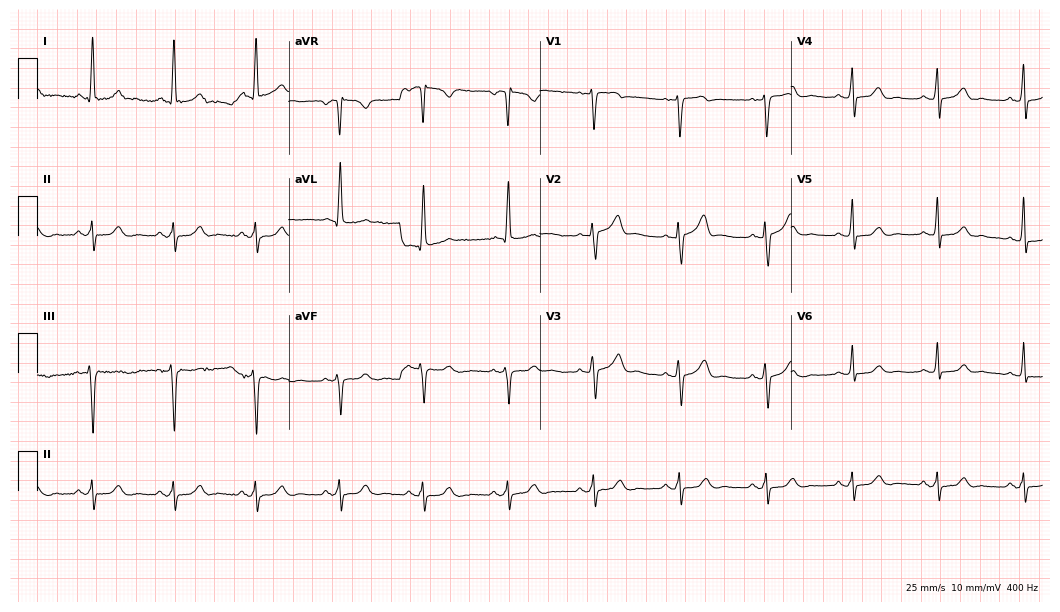
12-lead ECG from a 72-year-old man. Screened for six findings — first-degree AV block, right bundle branch block, left bundle branch block, sinus bradycardia, atrial fibrillation, sinus tachycardia — none is recorded.